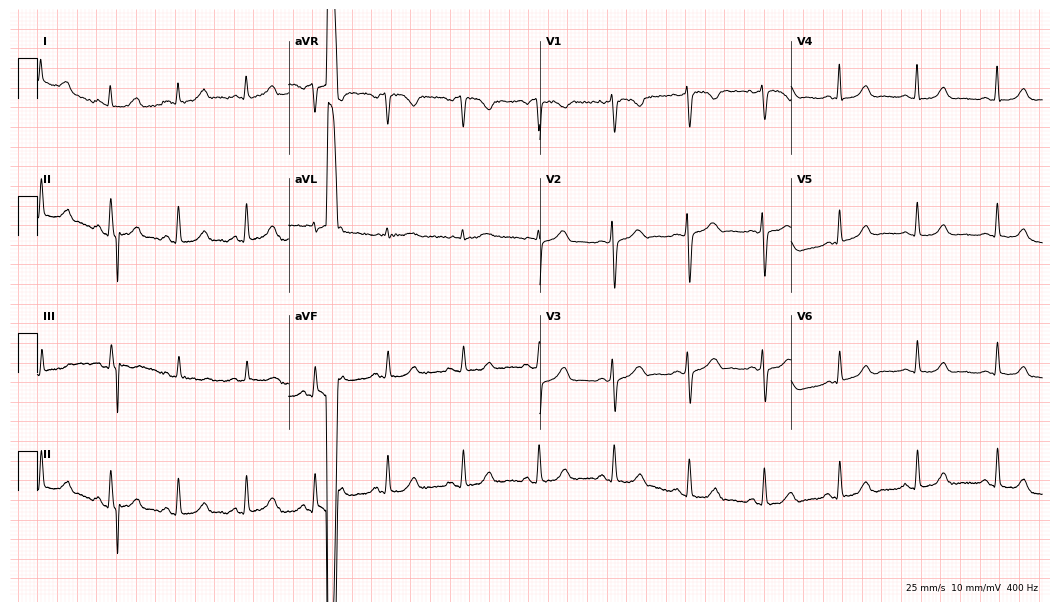
12-lead ECG from a female patient, 42 years old (10.2-second recording at 400 Hz). Recorded interpretation: within normal limits.